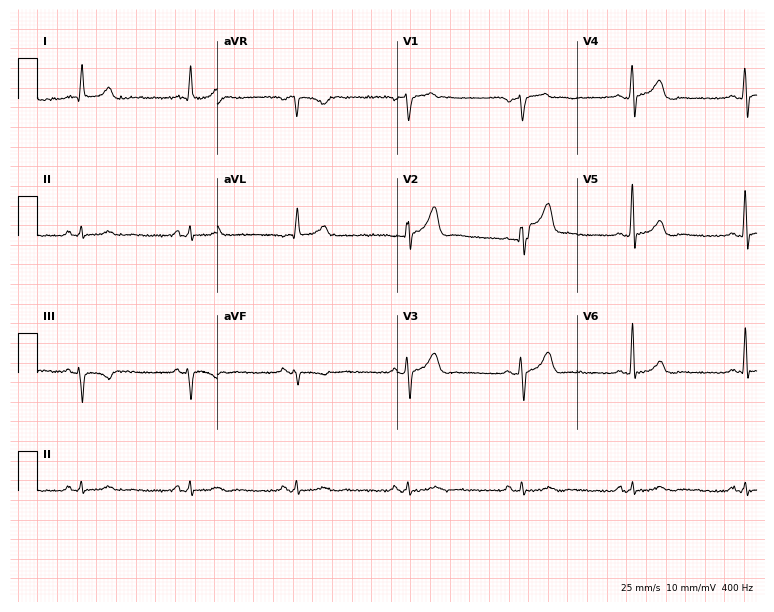
Resting 12-lead electrocardiogram (7.3-second recording at 400 Hz). Patient: a male, 57 years old. Read as a normal ECG.